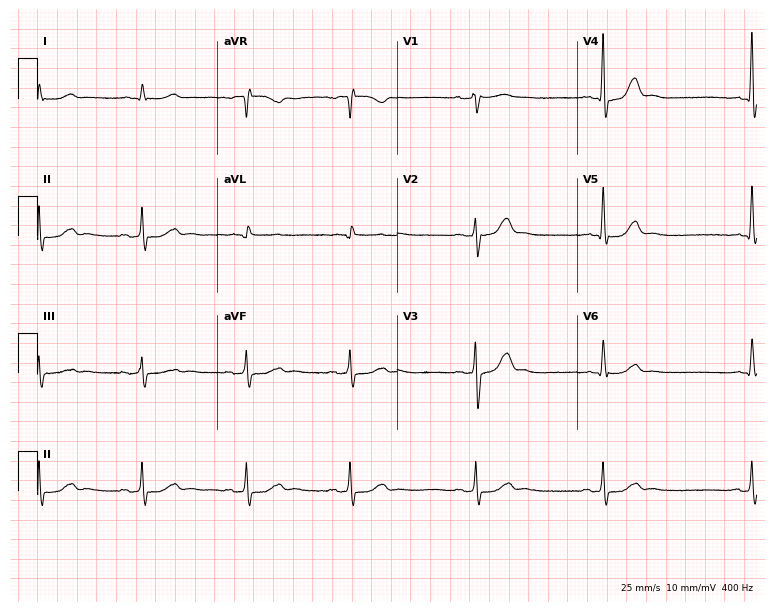
Standard 12-lead ECG recorded from a 78-year-old male (7.3-second recording at 400 Hz). None of these six findings is recorded: first-degree AV block, right bundle branch block (RBBB), left bundle branch block (LBBB), sinus bradycardia, atrial fibrillation (AF), sinus tachycardia.